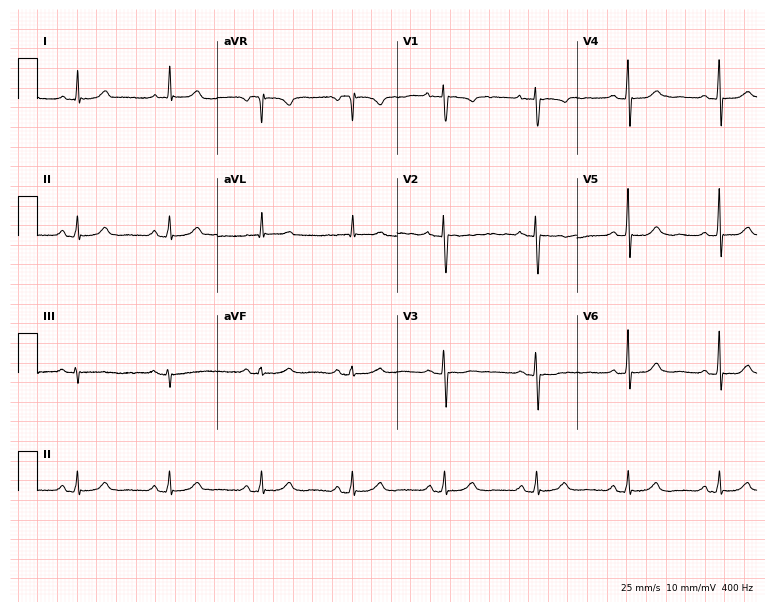
Standard 12-lead ECG recorded from a 58-year-old woman (7.3-second recording at 400 Hz). Read as a normal ECG.